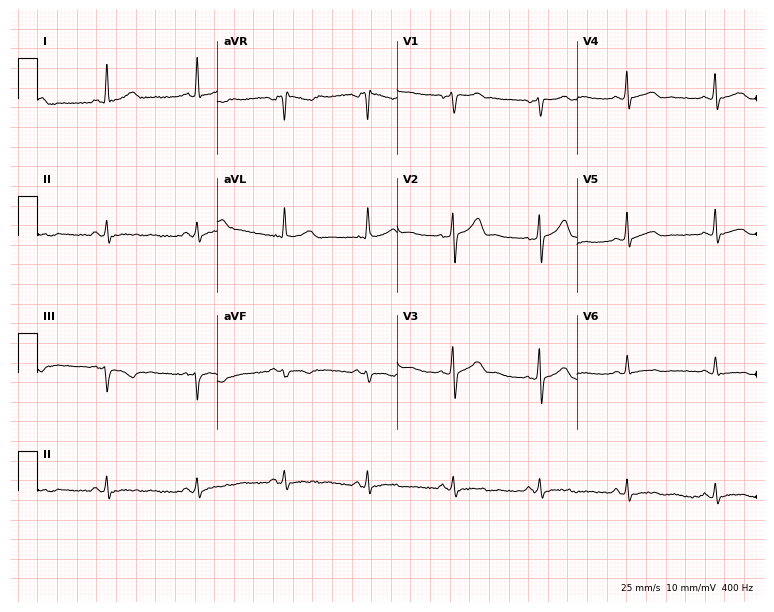
Standard 12-lead ECG recorded from a 42-year-old male. None of these six findings is recorded: first-degree AV block, right bundle branch block, left bundle branch block, sinus bradycardia, atrial fibrillation, sinus tachycardia.